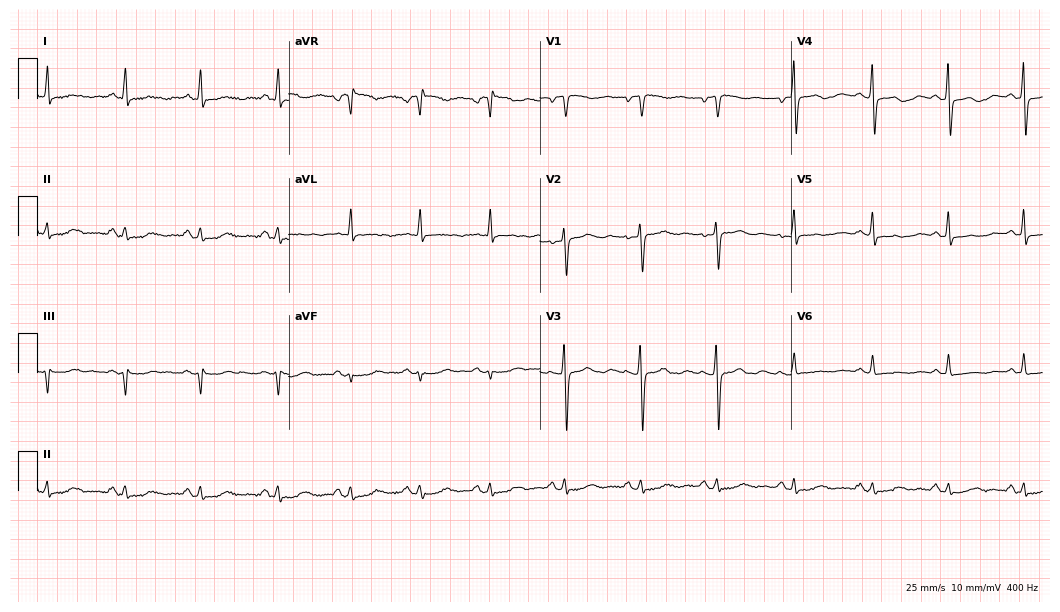
Electrocardiogram (10.2-second recording at 400 Hz), a 57-year-old woman. Of the six screened findings (first-degree AV block, right bundle branch block, left bundle branch block, sinus bradycardia, atrial fibrillation, sinus tachycardia), none is recorded.